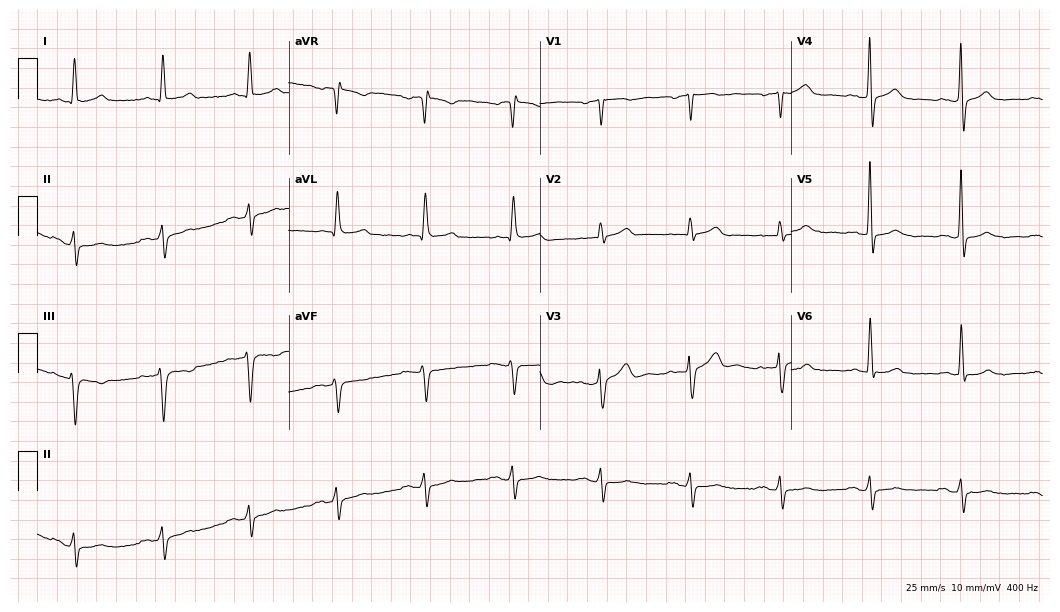
12-lead ECG from a man, 79 years old. No first-degree AV block, right bundle branch block, left bundle branch block, sinus bradycardia, atrial fibrillation or sinus tachycardia recorded for this tracing.